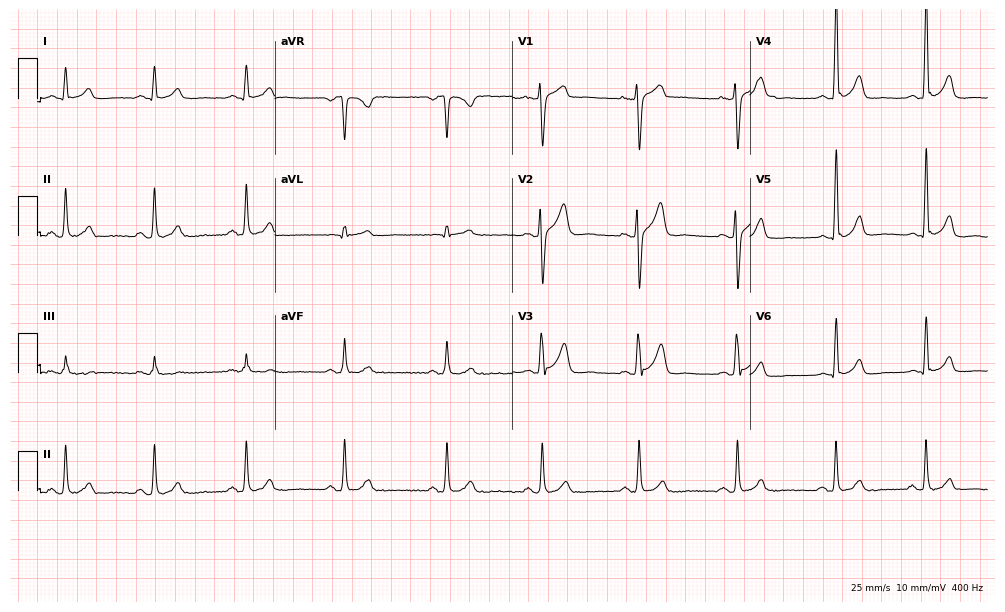
12-lead ECG (9.7-second recording at 400 Hz) from a male, 31 years old. Labelled as a normal ECG.